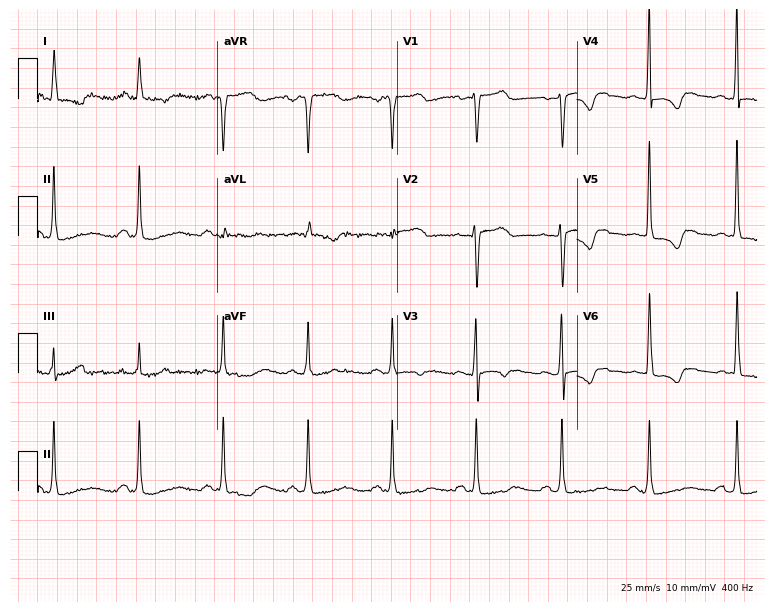
12-lead ECG from a 39-year-old man. Screened for six findings — first-degree AV block, right bundle branch block (RBBB), left bundle branch block (LBBB), sinus bradycardia, atrial fibrillation (AF), sinus tachycardia — none is recorded. Findings outside these six are not listed.